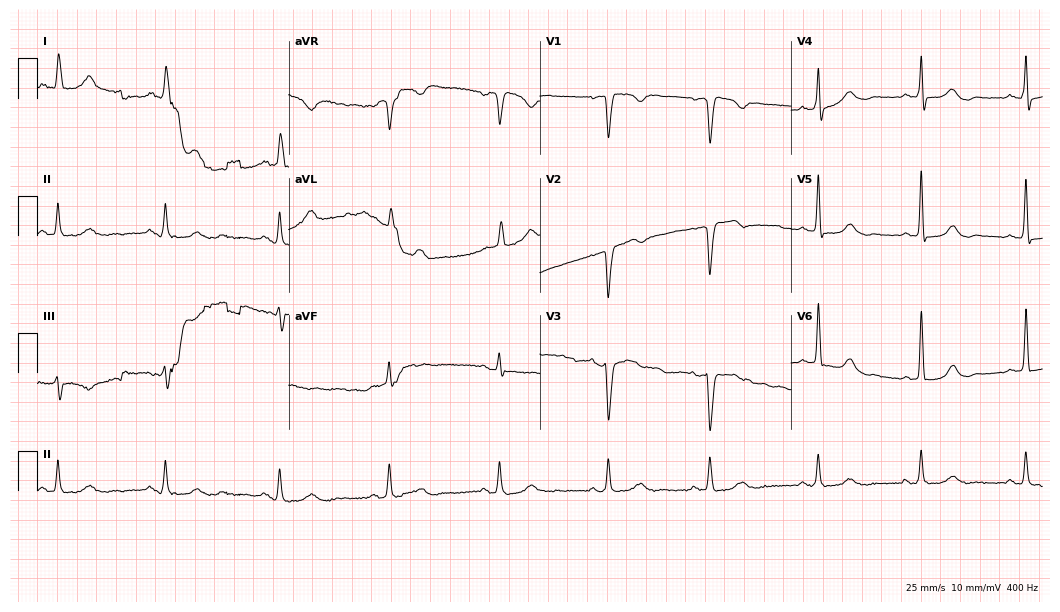
ECG — a 63-year-old woman. Screened for six findings — first-degree AV block, right bundle branch block, left bundle branch block, sinus bradycardia, atrial fibrillation, sinus tachycardia — none is recorded. Findings outside these six are not listed.